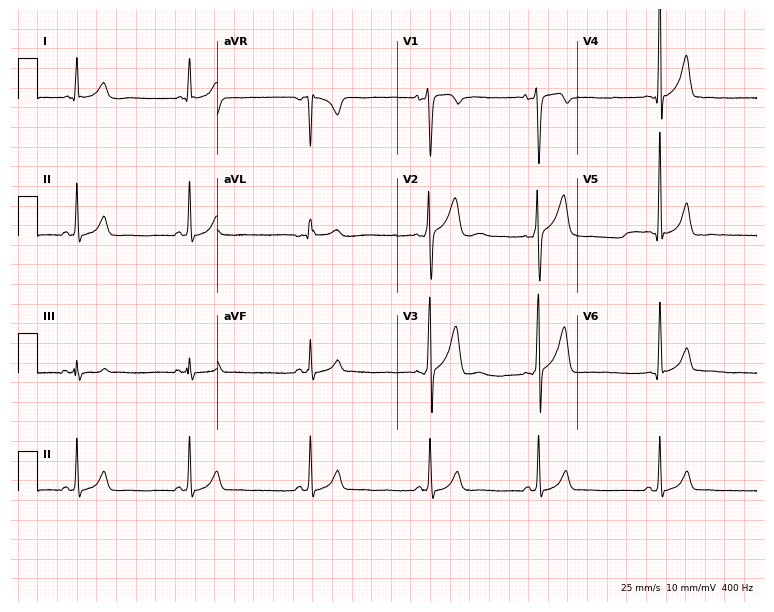
Resting 12-lead electrocardiogram (7.3-second recording at 400 Hz). Patient: a male, 20 years old. Read as a normal ECG.